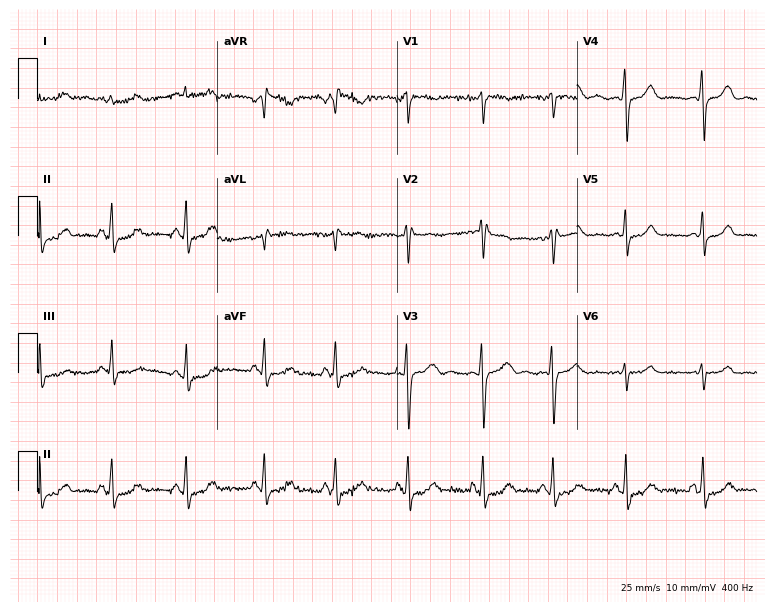
ECG — a female patient, 22 years old. Screened for six findings — first-degree AV block, right bundle branch block, left bundle branch block, sinus bradycardia, atrial fibrillation, sinus tachycardia — none is recorded.